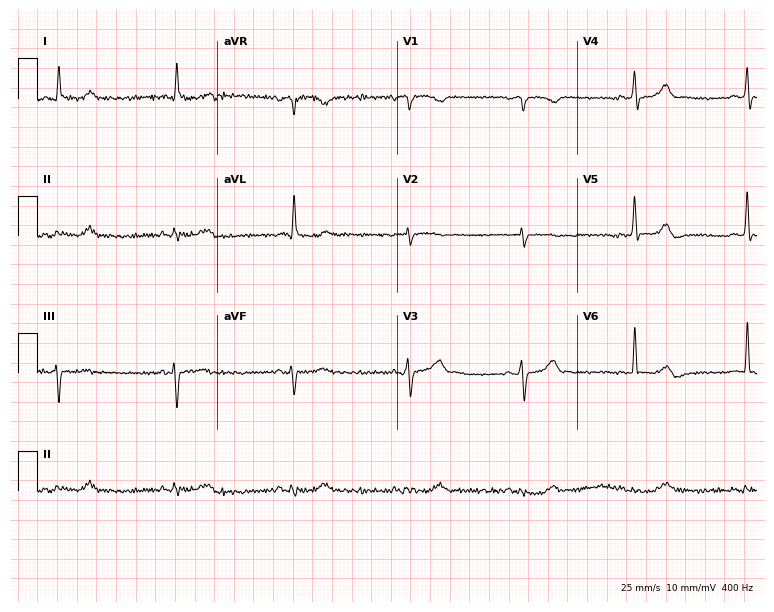
Electrocardiogram, a male patient, 80 years old. Overall reading on record: normal ECG.